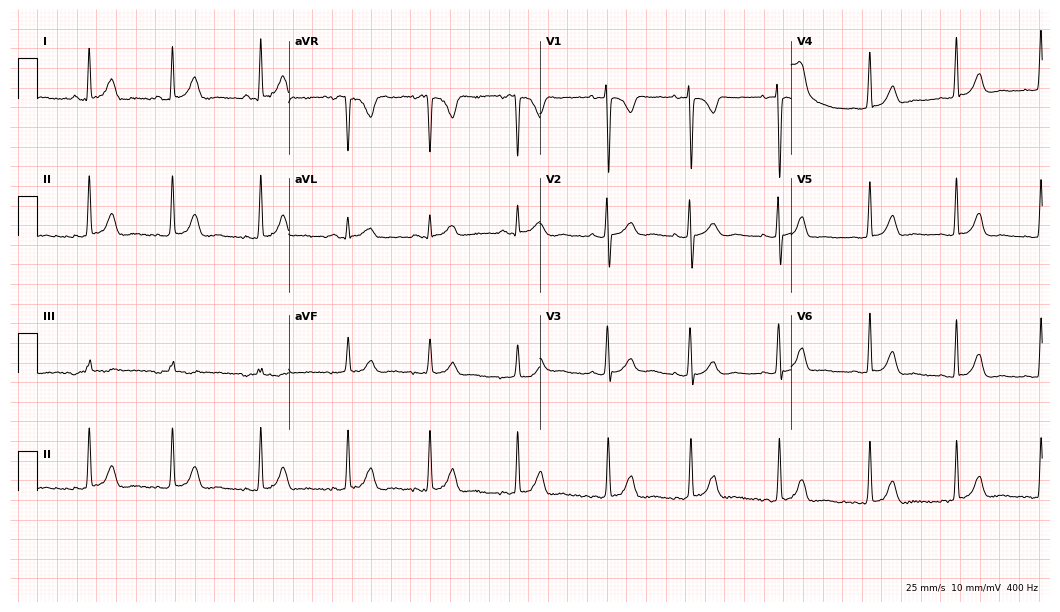
12-lead ECG (10.2-second recording at 400 Hz) from a female, 33 years old. Screened for six findings — first-degree AV block, right bundle branch block, left bundle branch block, sinus bradycardia, atrial fibrillation, sinus tachycardia — none is recorded.